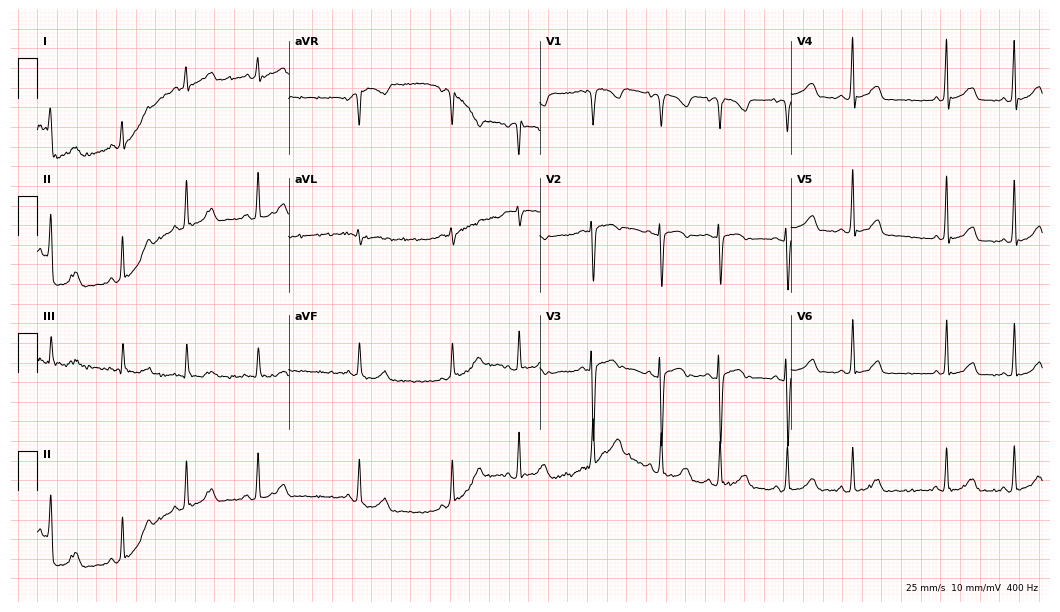
Standard 12-lead ECG recorded from a 44-year-old woman (10.2-second recording at 400 Hz). Read as a normal ECG.